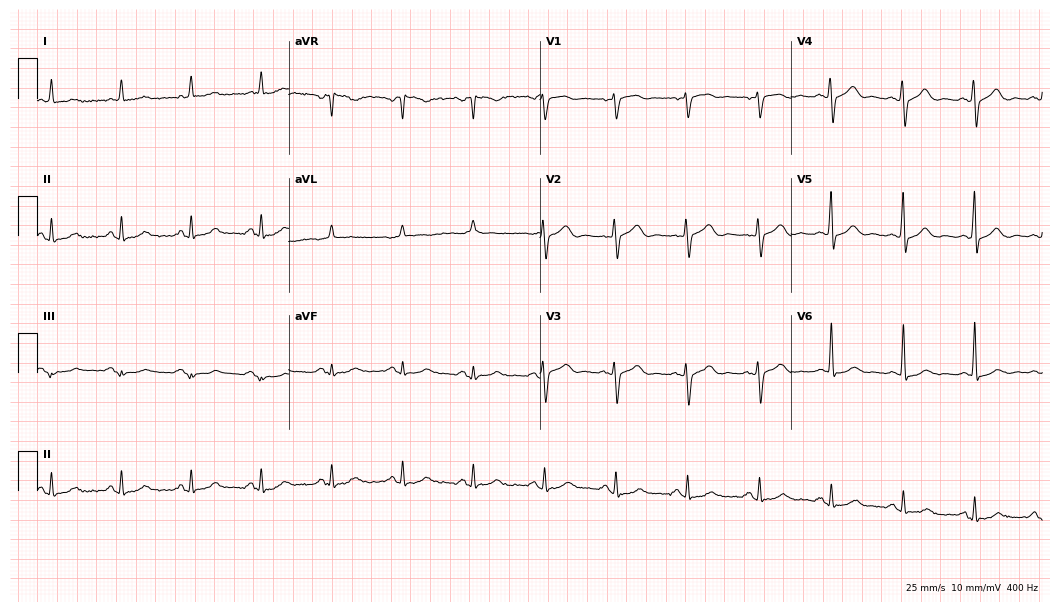
ECG — a man, 75 years old. Labelled as a normal ECG.